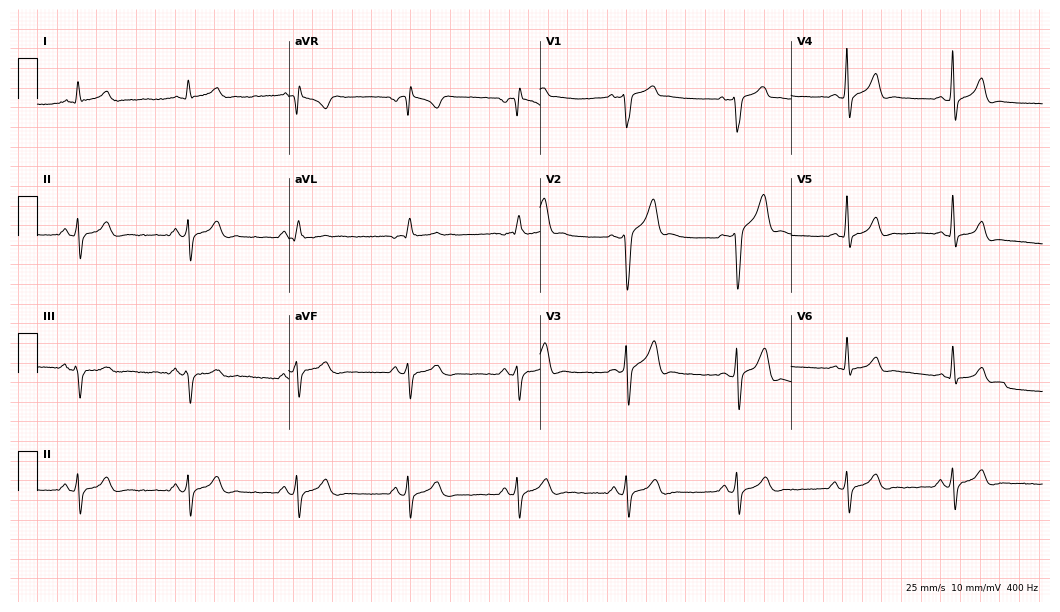
12-lead ECG from a male patient, 49 years old. No first-degree AV block, right bundle branch block, left bundle branch block, sinus bradycardia, atrial fibrillation or sinus tachycardia recorded for this tracing.